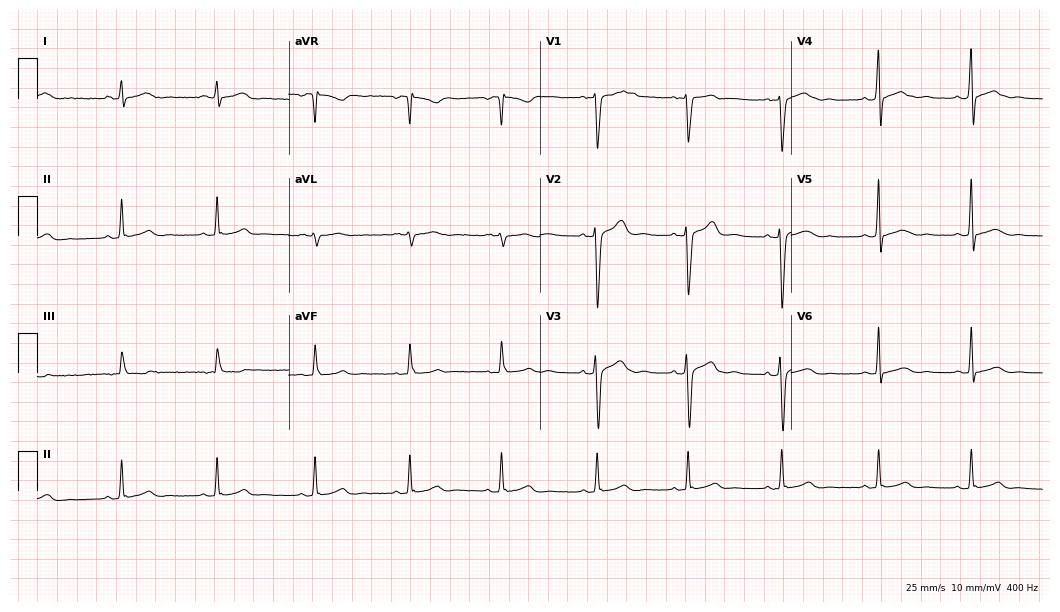
ECG — a male patient, 23 years old. Labelled as a normal ECG.